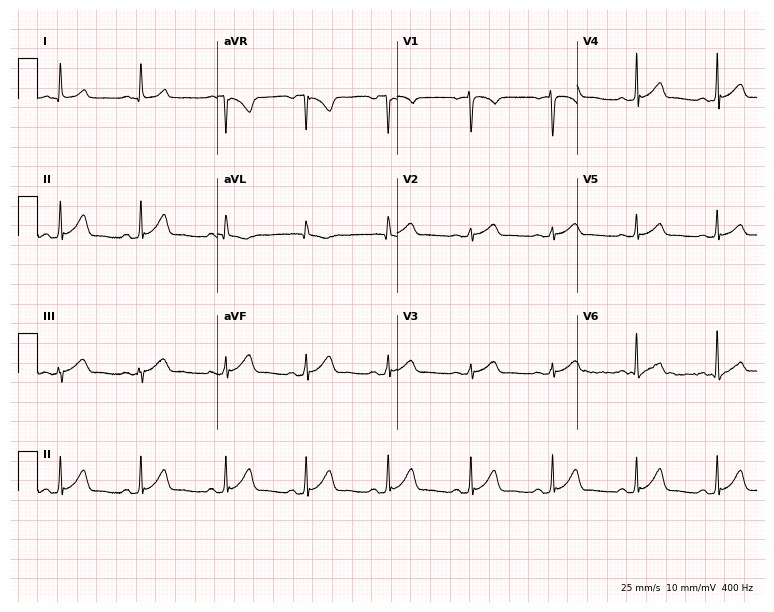
Resting 12-lead electrocardiogram (7.3-second recording at 400 Hz). Patient: a 50-year-old man. None of these six findings is recorded: first-degree AV block, right bundle branch block, left bundle branch block, sinus bradycardia, atrial fibrillation, sinus tachycardia. Findings outside these six are not listed.